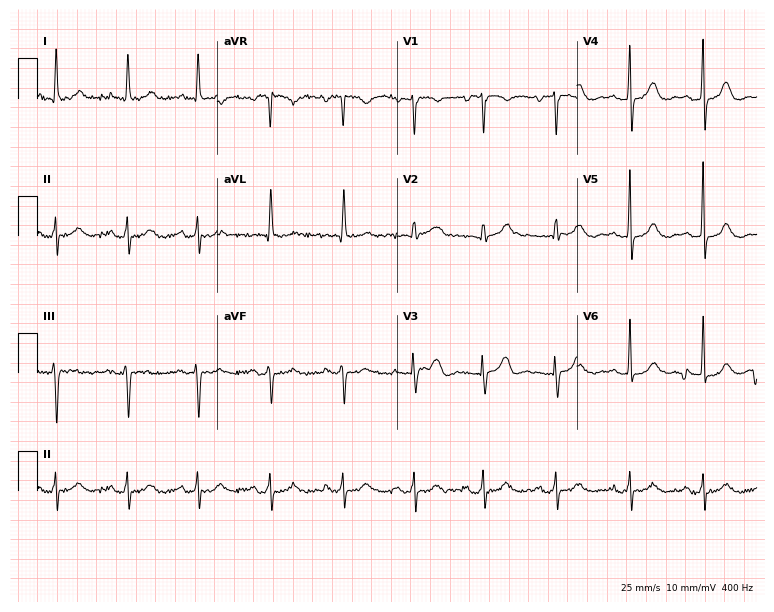
Resting 12-lead electrocardiogram. Patient: a female, 53 years old. Read as a normal ECG.